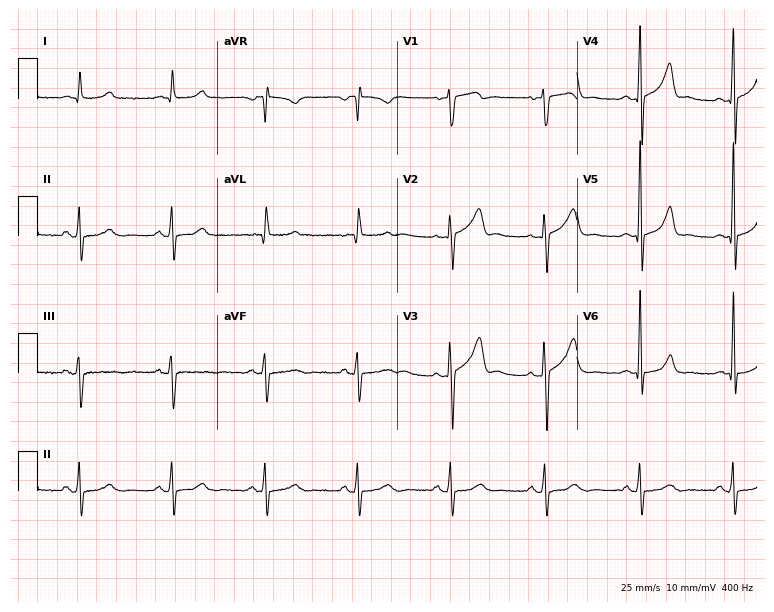
12-lead ECG from a 70-year-old male. Labelled as a normal ECG.